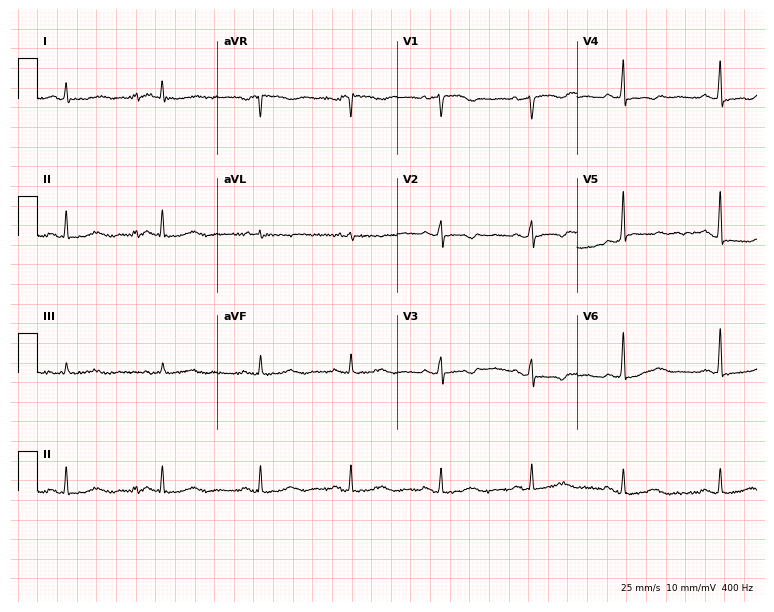
12-lead ECG from a female patient, 41 years old. No first-degree AV block, right bundle branch block, left bundle branch block, sinus bradycardia, atrial fibrillation or sinus tachycardia recorded for this tracing. Findings outside these six are not listed.